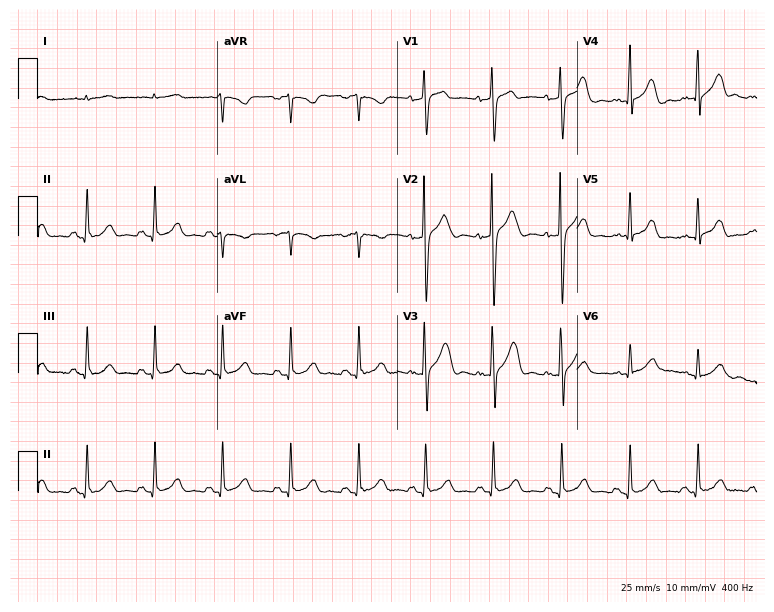
12-lead ECG from a 68-year-old male. Labelled as a normal ECG.